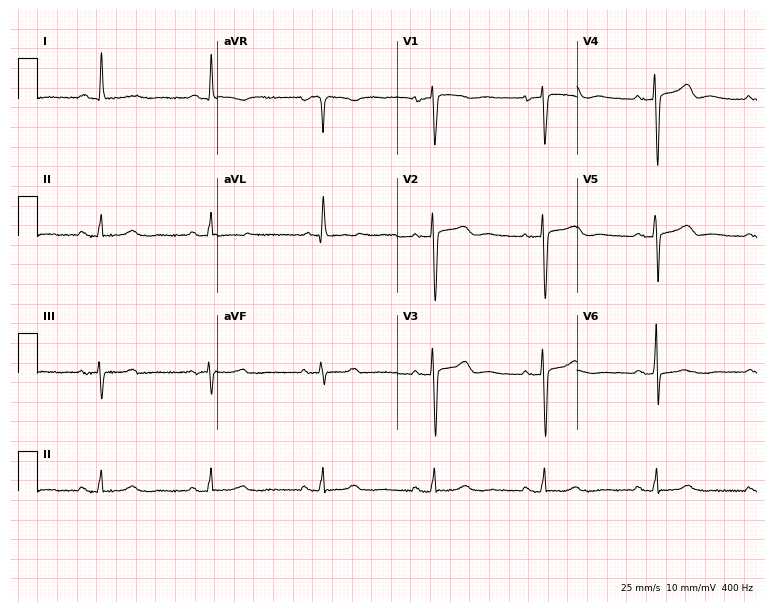
Standard 12-lead ECG recorded from a woman, 76 years old (7.3-second recording at 400 Hz). None of these six findings is recorded: first-degree AV block, right bundle branch block (RBBB), left bundle branch block (LBBB), sinus bradycardia, atrial fibrillation (AF), sinus tachycardia. Findings outside these six are not listed.